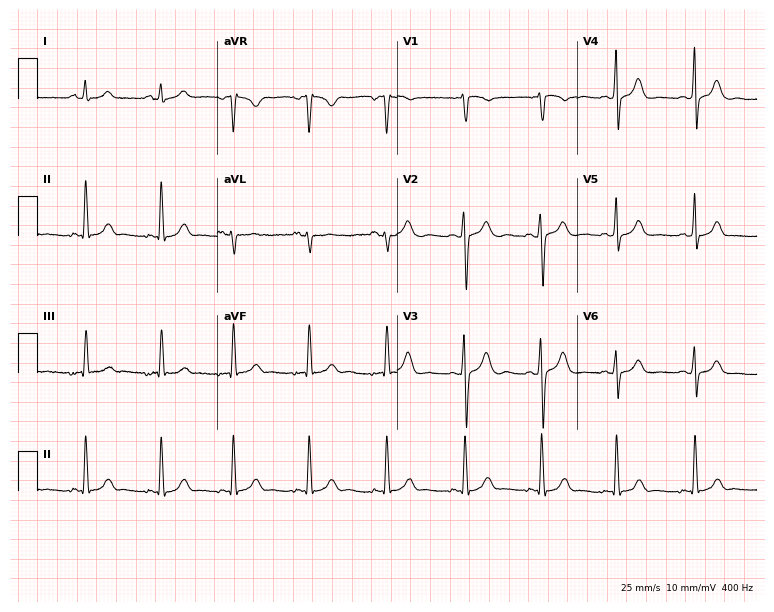
12-lead ECG from a woman, 20 years old. Labelled as a normal ECG.